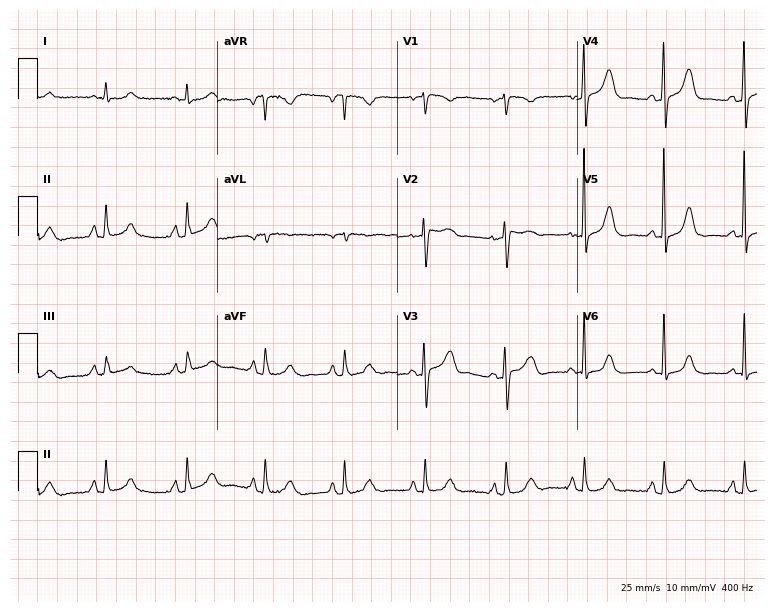
12-lead ECG from a 55-year-old woman. No first-degree AV block, right bundle branch block (RBBB), left bundle branch block (LBBB), sinus bradycardia, atrial fibrillation (AF) or sinus tachycardia recorded for this tracing.